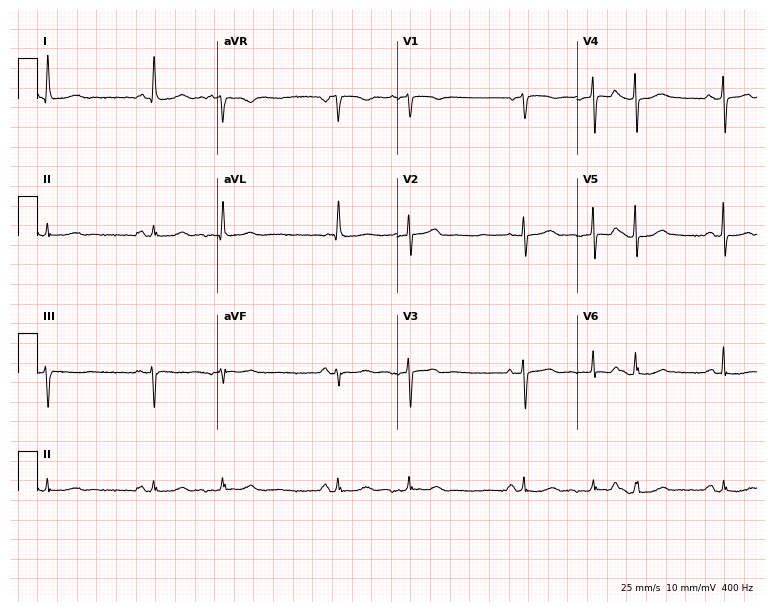
Resting 12-lead electrocardiogram (7.3-second recording at 400 Hz). Patient: an 83-year-old female. None of these six findings is recorded: first-degree AV block, right bundle branch block, left bundle branch block, sinus bradycardia, atrial fibrillation, sinus tachycardia. Only these six findings were labelled.